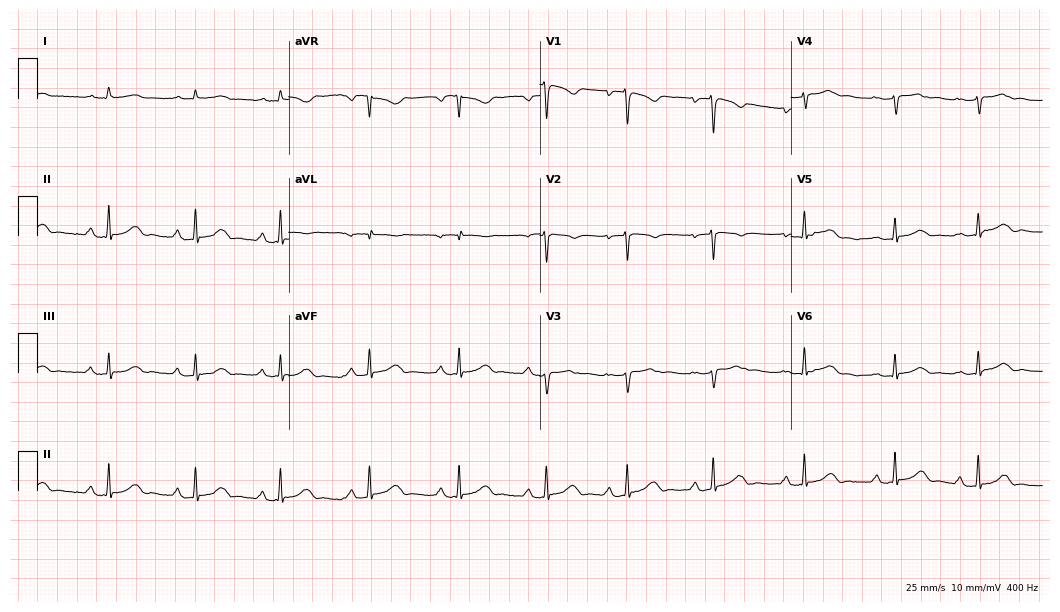
12-lead ECG from a 42-year-old woman. Recorded interpretation: within normal limits.